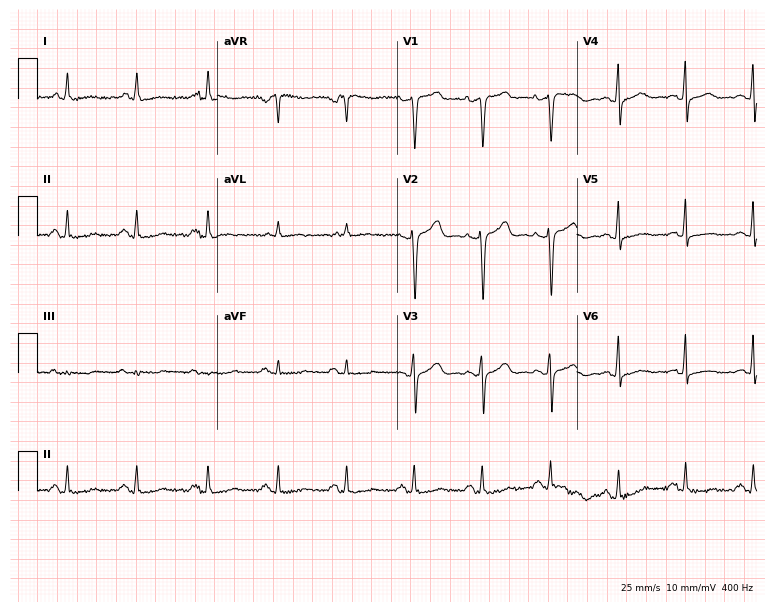
12-lead ECG (7.3-second recording at 400 Hz) from a female, 44 years old. Screened for six findings — first-degree AV block, right bundle branch block (RBBB), left bundle branch block (LBBB), sinus bradycardia, atrial fibrillation (AF), sinus tachycardia — none is recorded. Only these six findings were labelled.